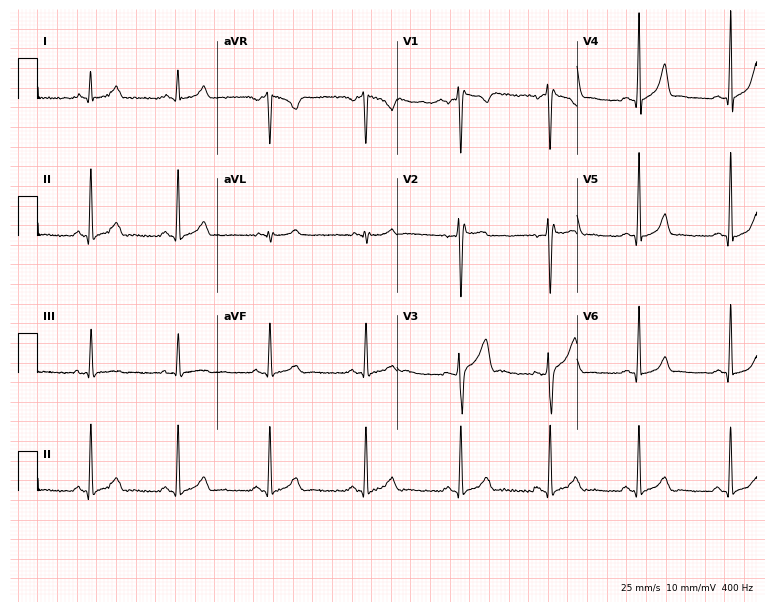
ECG (7.3-second recording at 400 Hz) — a 24-year-old man. Labelled as a normal ECG.